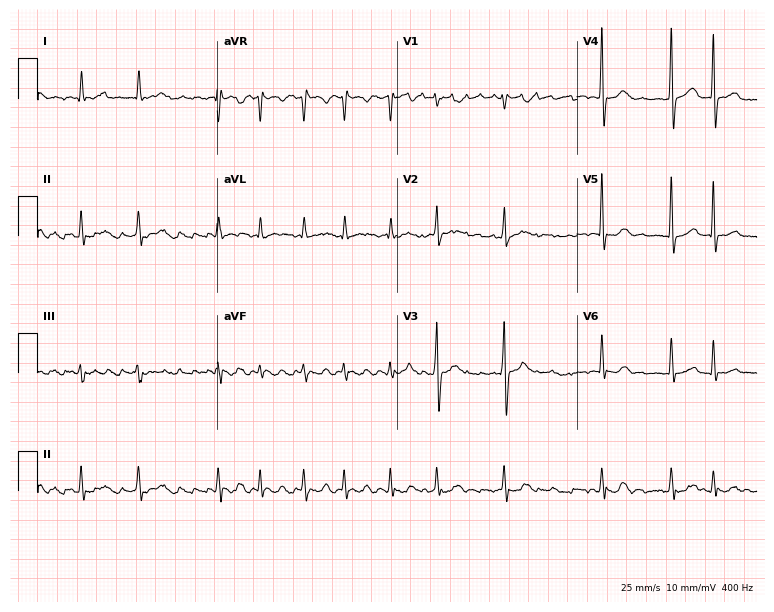
Standard 12-lead ECG recorded from a man, 66 years old (7.3-second recording at 400 Hz). The tracing shows atrial fibrillation (AF).